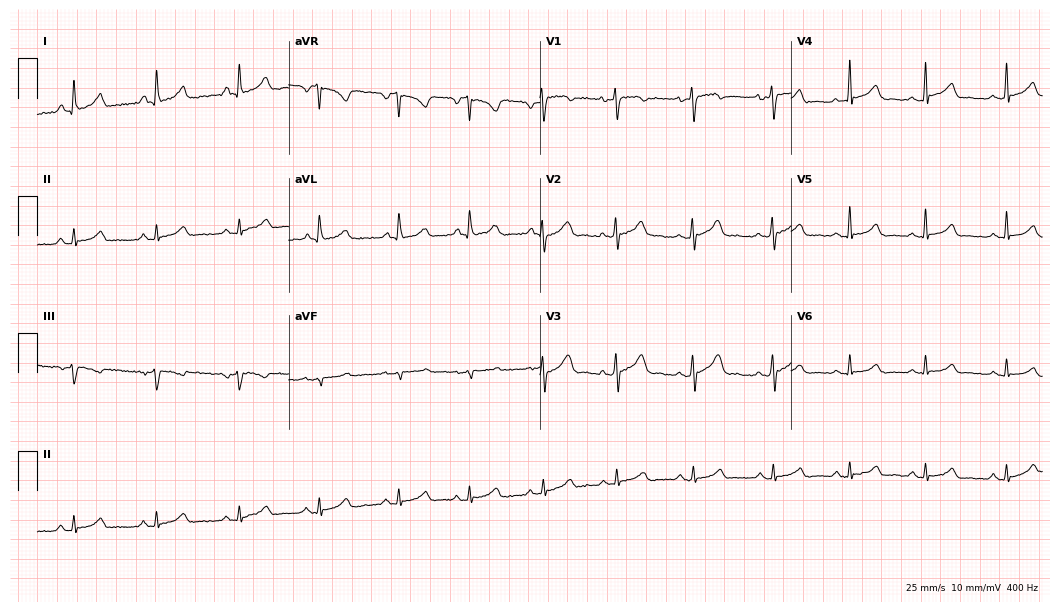
Electrocardiogram, a woman, 34 years old. Overall reading on record: normal ECG.